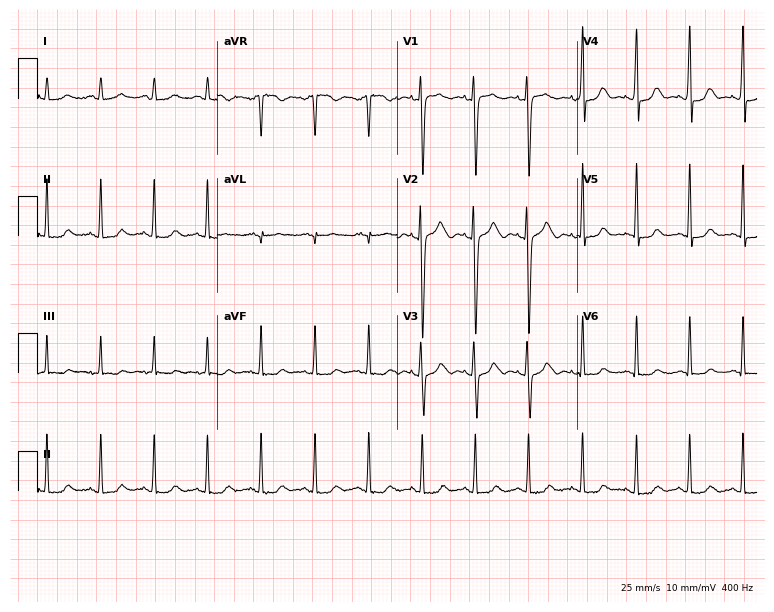
Standard 12-lead ECG recorded from a female, 25 years old (7.3-second recording at 400 Hz). The tracing shows sinus tachycardia (a sinus rate of 100 beats per minute or more).